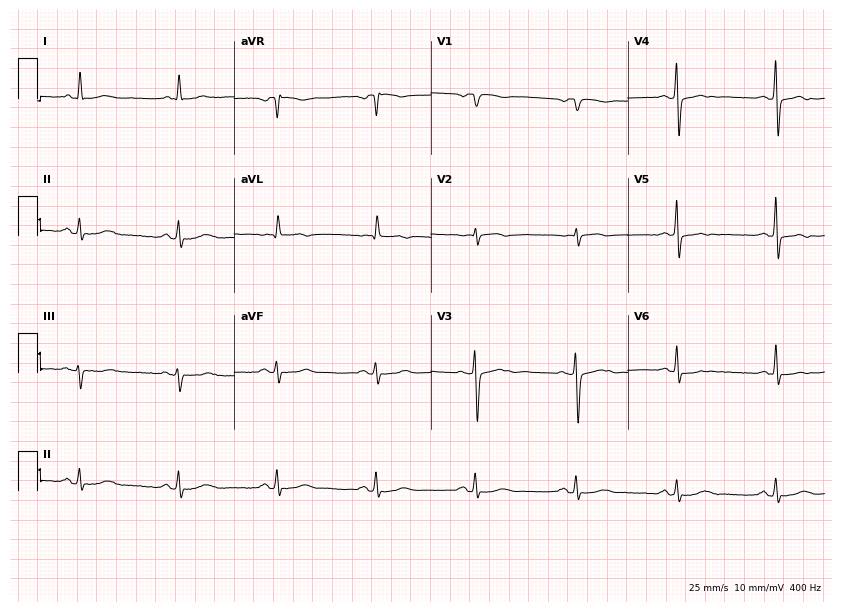
Resting 12-lead electrocardiogram (8-second recording at 400 Hz). Patient: an 85-year-old female. None of these six findings is recorded: first-degree AV block, right bundle branch block, left bundle branch block, sinus bradycardia, atrial fibrillation, sinus tachycardia. Only these six findings were labelled.